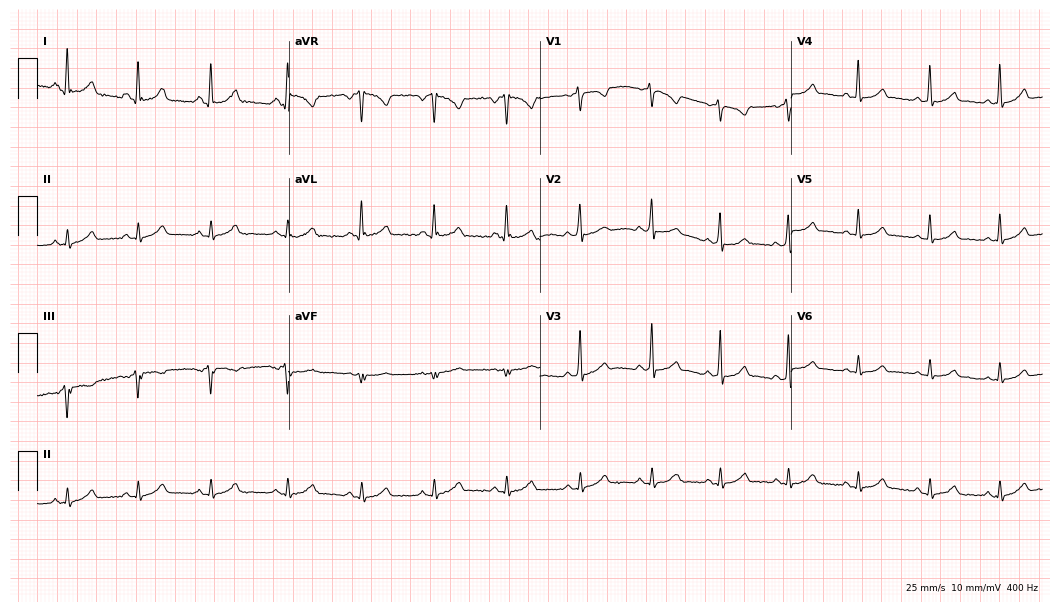
Electrocardiogram (10.2-second recording at 400 Hz), a female, 29 years old. Overall reading on record: normal ECG.